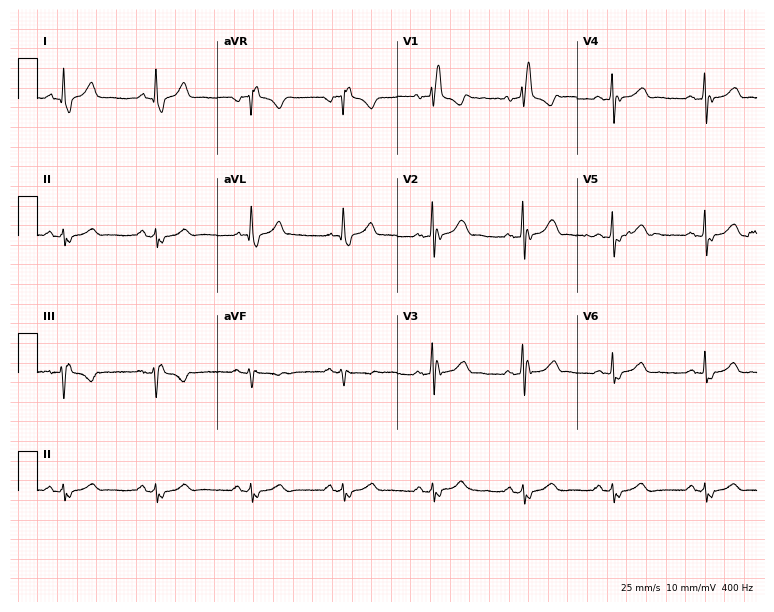
Electrocardiogram, a 50-year-old man. Interpretation includes right bundle branch block (RBBB).